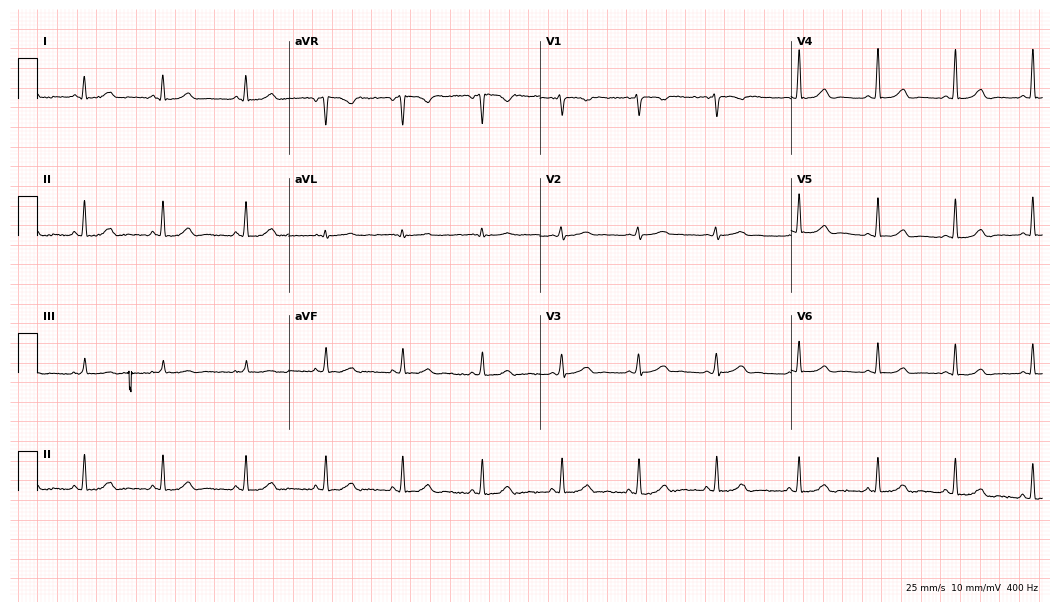
ECG (10.2-second recording at 400 Hz) — a female patient, 36 years old. Labelled as a normal ECG.